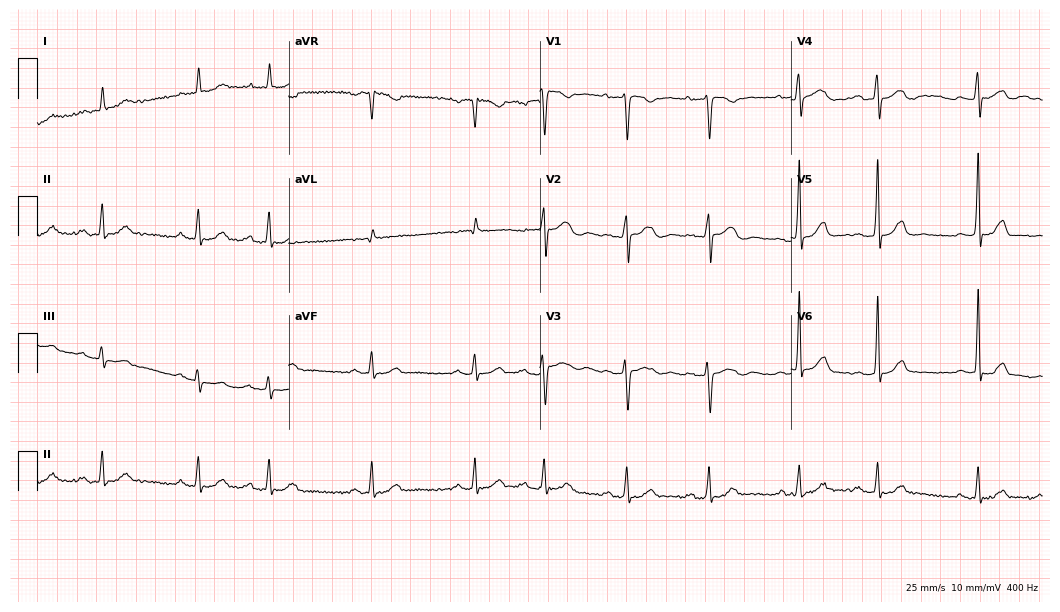
12-lead ECG from a 78-year-old woman (10.2-second recording at 400 Hz). Recorded interpretation: within normal limits.